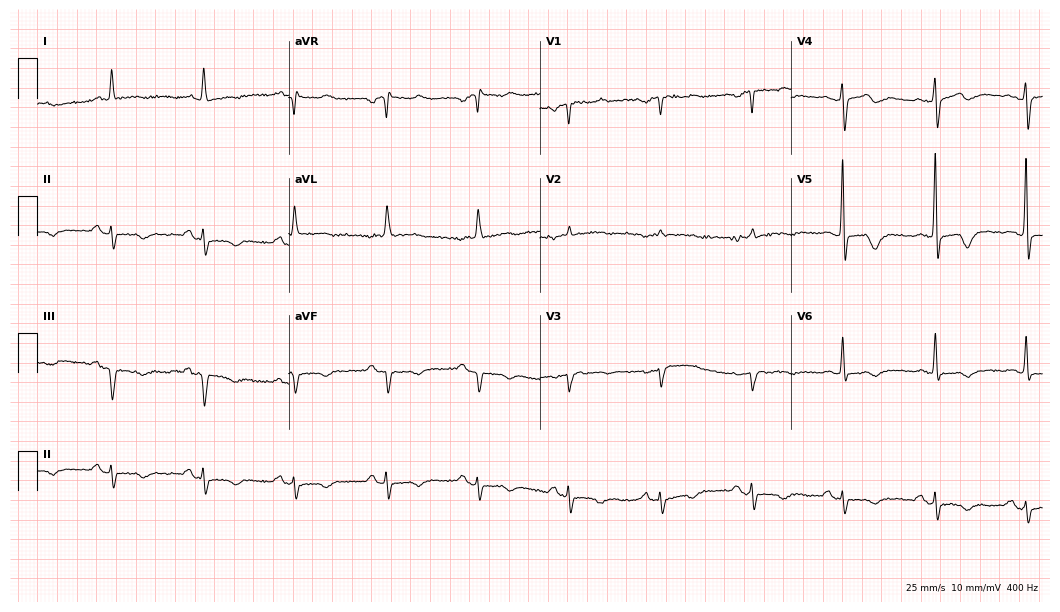
ECG (10.2-second recording at 400 Hz) — a female, 85 years old. Screened for six findings — first-degree AV block, right bundle branch block (RBBB), left bundle branch block (LBBB), sinus bradycardia, atrial fibrillation (AF), sinus tachycardia — none is recorded.